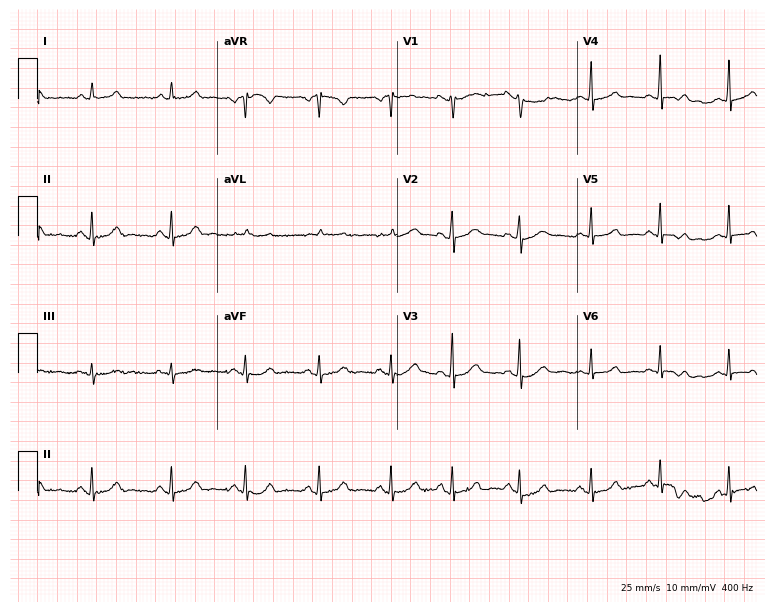
Standard 12-lead ECG recorded from an 18-year-old female. Read as a normal ECG.